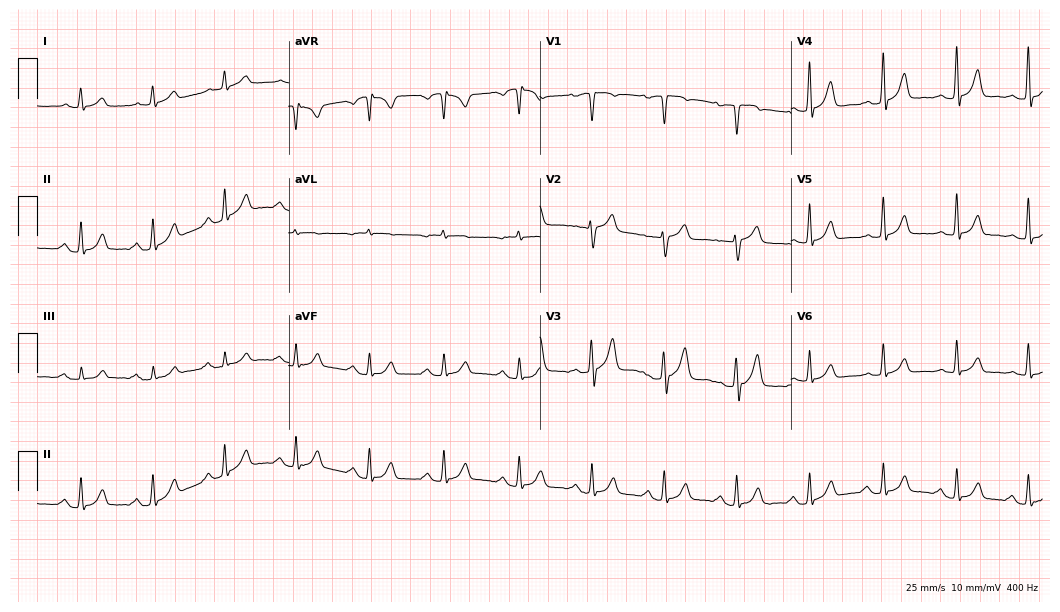
12-lead ECG from a 60-year-old man. Labelled as a normal ECG.